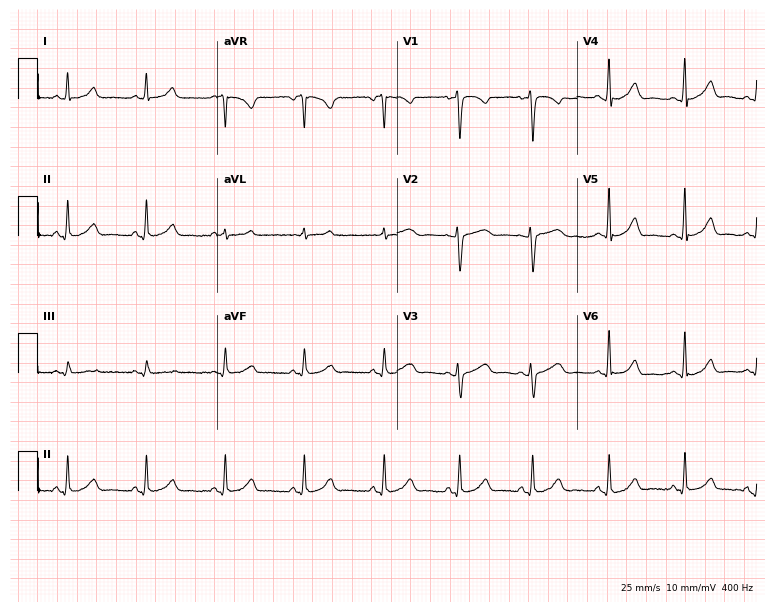
Standard 12-lead ECG recorded from a female patient, 29 years old. Read as a normal ECG.